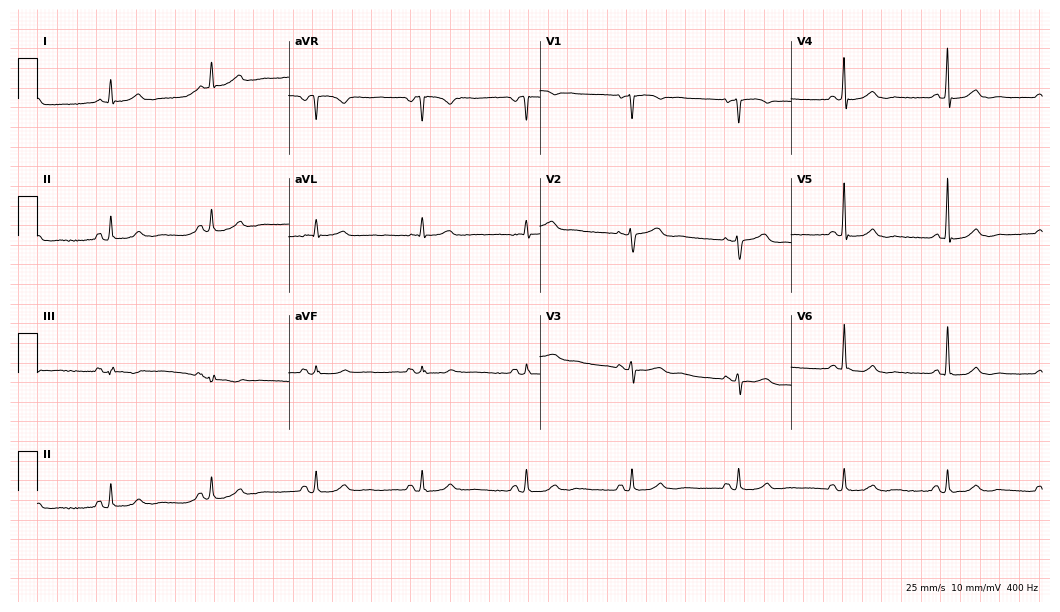
12-lead ECG from a 66-year-old woman (10.2-second recording at 400 Hz). No first-degree AV block, right bundle branch block, left bundle branch block, sinus bradycardia, atrial fibrillation or sinus tachycardia recorded for this tracing. Findings outside these six are not listed.